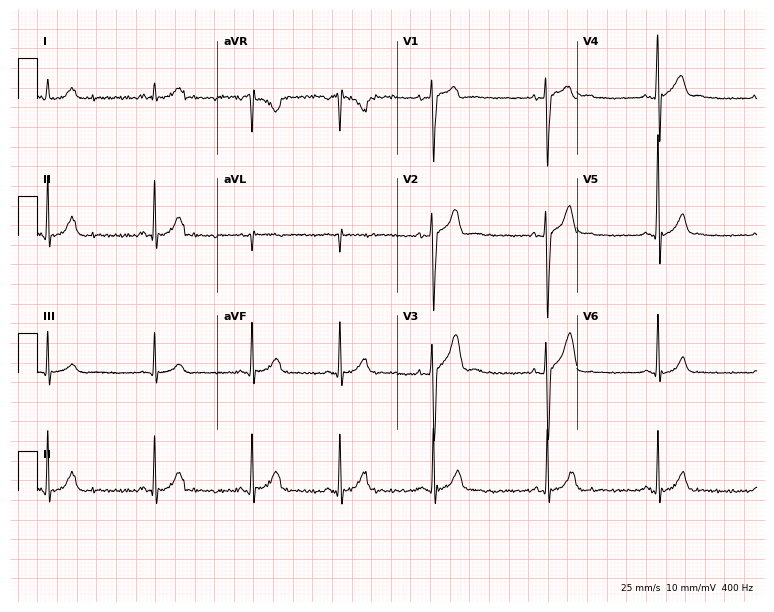
Standard 12-lead ECG recorded from a 17-year-old male. Read as a normal ECG.